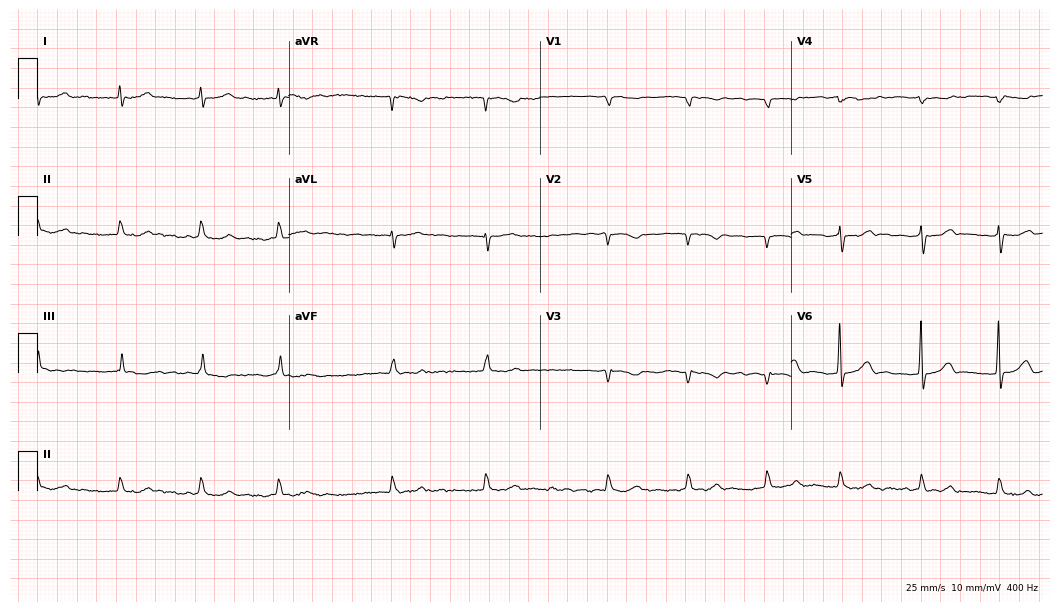
12-lead ECG from a female, 82 years old. Shows atrial fibrillation.